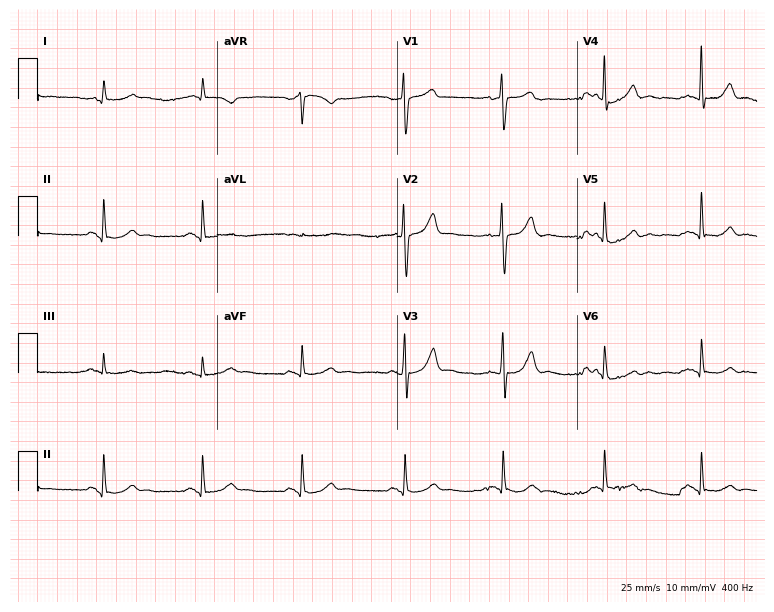
Electrocardiogram (7.3-second recording at 400 Hz), a 72-year-old male. Overall reading on record: normal ECG.